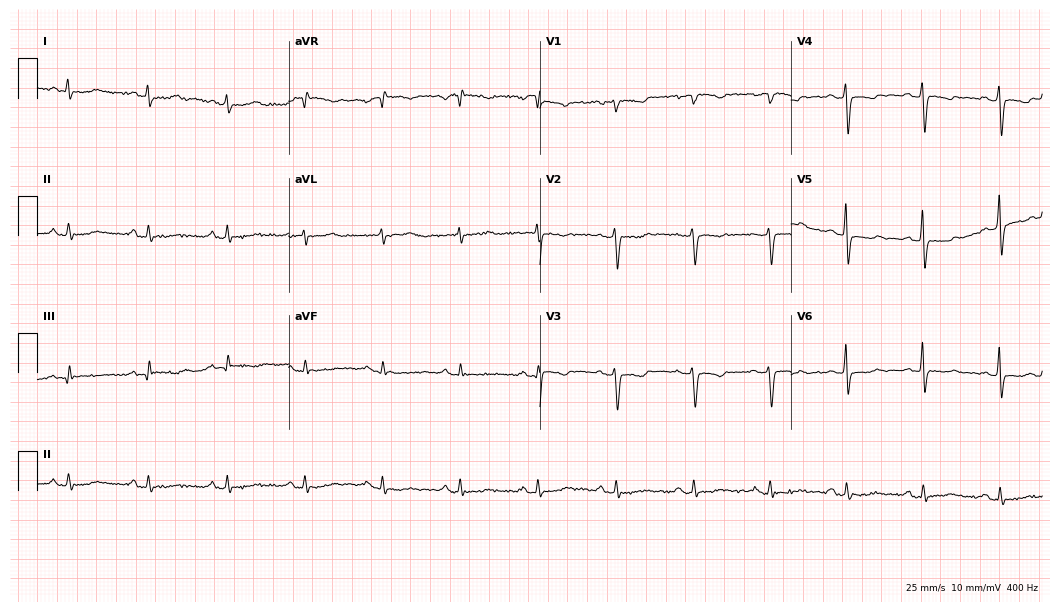
12-lead ECG (10.2-second recording at 400 Hz) from a 60-year-old woman. Screened for six findings — first-degree AV block, right bundle branch block (RBBB), left bundle branch block (LBBB), sinus bradycardia, atrial fibrillation (AF), sinus tachycardia — none is recorded.